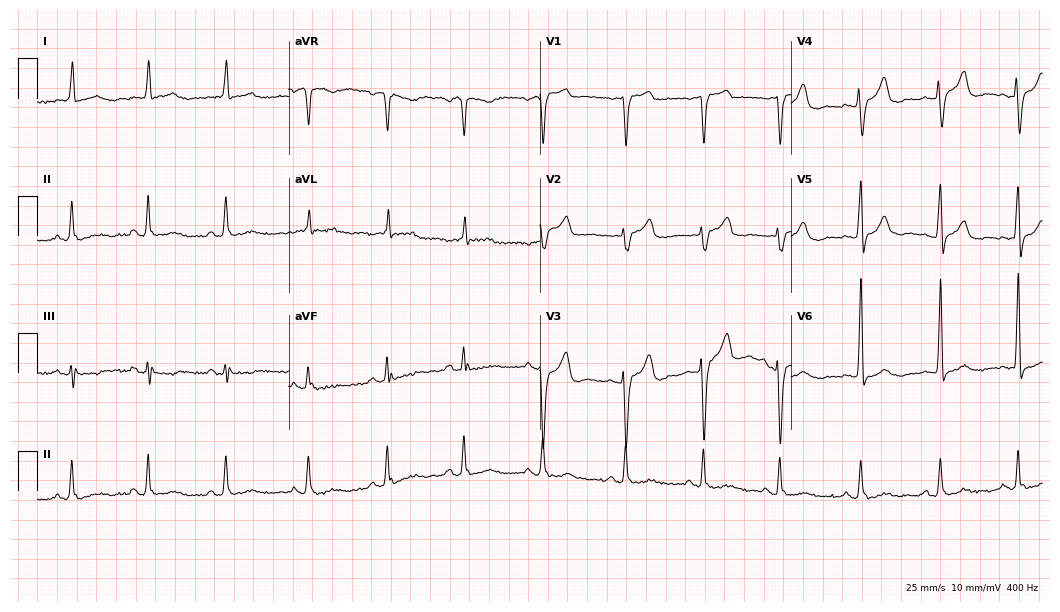
12-lead ECG from a male, 80 years old. Labelled as a normal ECG.